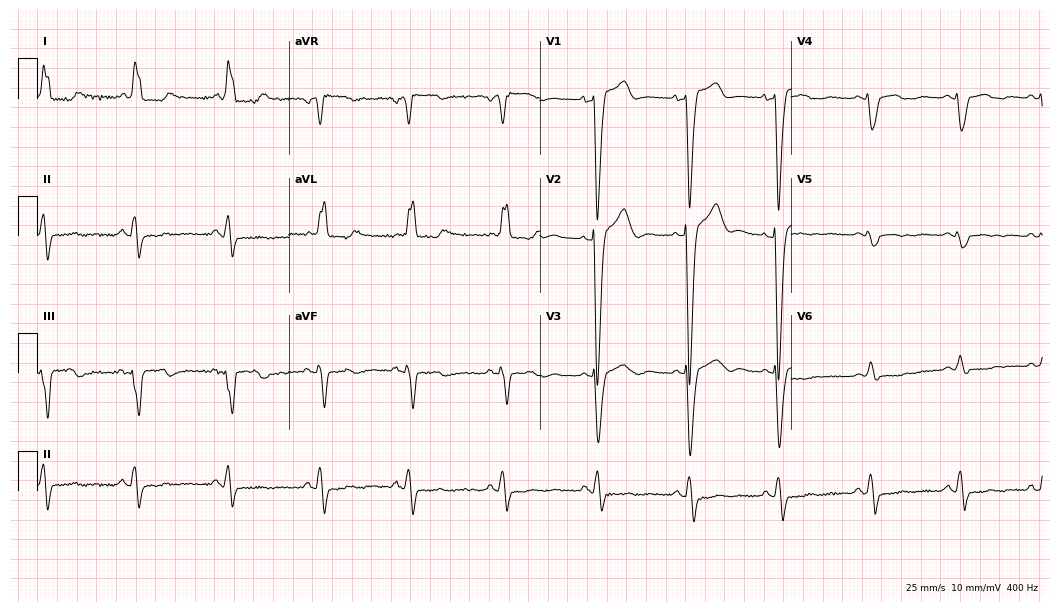
Standard 12-lead ECG recorded from a female, 51 years old (10.2-second recording at 400 Hz). The tracing shows left bundle branch block.